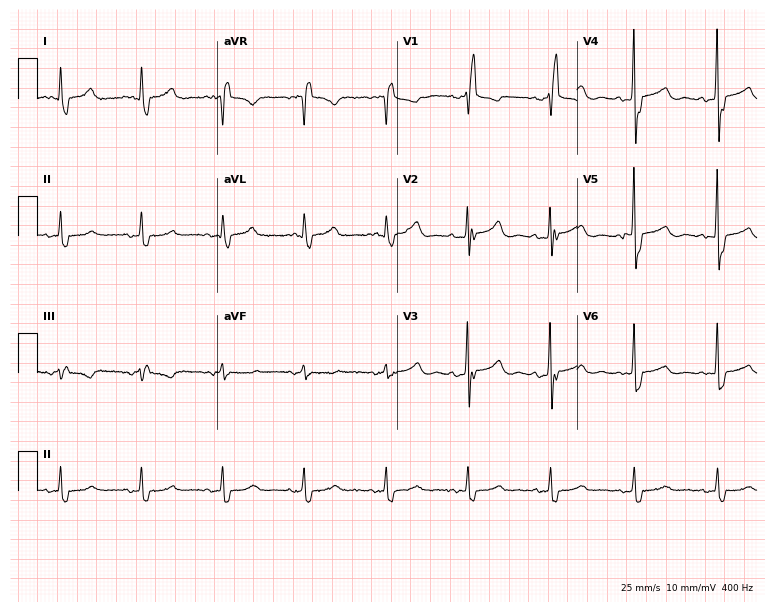
Resting 12-lead electrocardiogram (7.3-second recording at 400 Hz). Patient: an 85-year-old man. The tracing shows right bundle branch block.